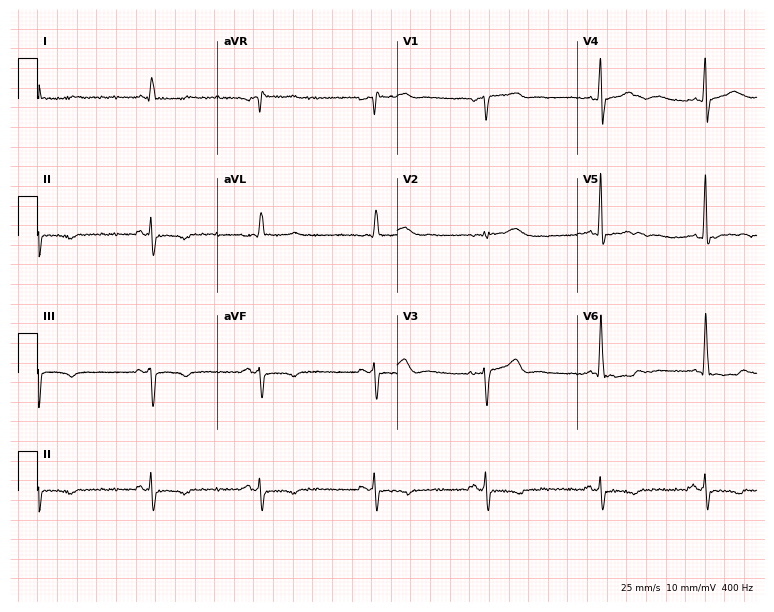
Electrocardiogram (7.3-second recording at 400 Hz), a 71-year-old man. Of the six screened findings (first-degree AV block, right bundle branch block, left bundle branch block, sinus bradycardia, atrial fibrillation, sinus tachycardia), none is recorded.